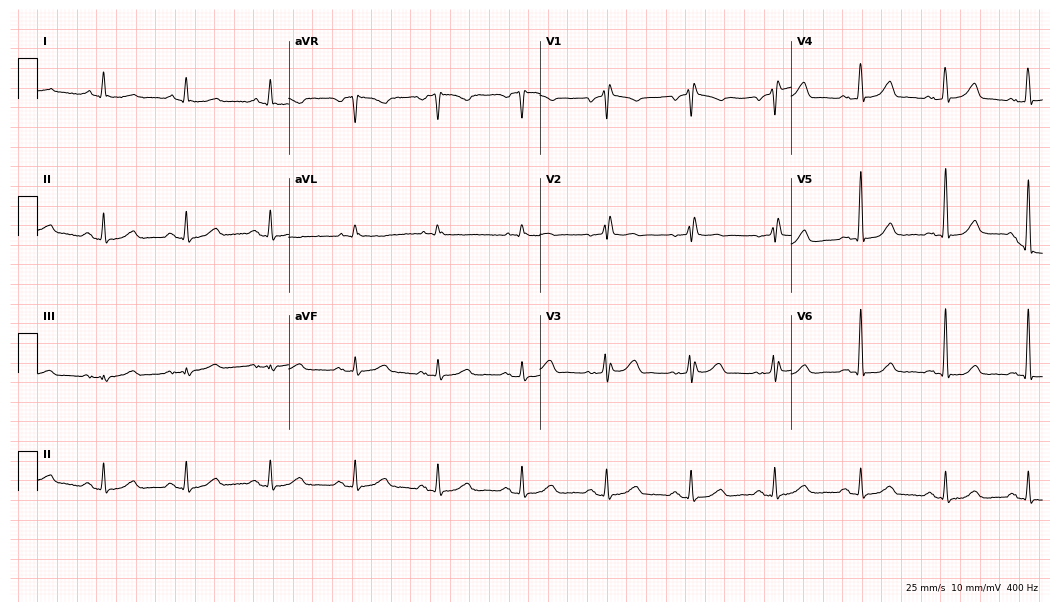
Resting 12-lead electrocardiogram (10.2-second recording at 400 Hz). Patient: a woman, 31 years old. None of these six findings is recorded: first-degree AV block, right bundle branch block, left bundle branch block, sinus bradycardia, atrial fibrillation, sinus tachycardia. Other findings, if any, are not listed.